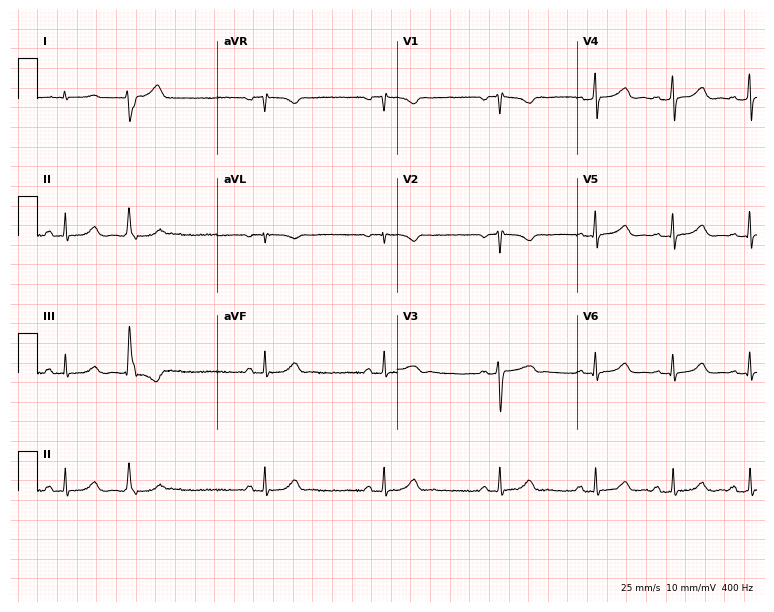
ECG — a woman, 34 years old. Screened for six findings — first-degree AV block, right bundle branch block (RBBB), left bundle branch block (LBBB), sinus bradycardia, atrial fibrillation (AF), sinus tachycardia — none is recorded.